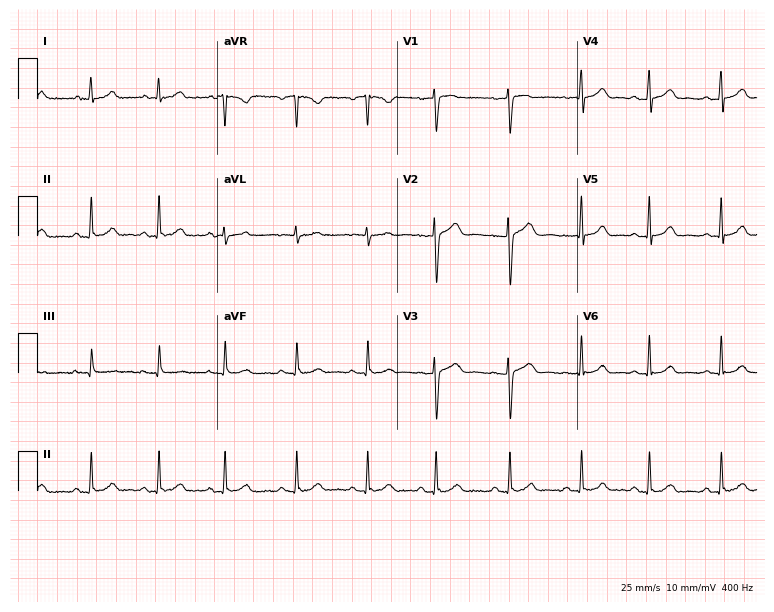
ECG (7.3-second recording at 400 Hz) — a female, 20 years old. Labelled as a normal ECG.